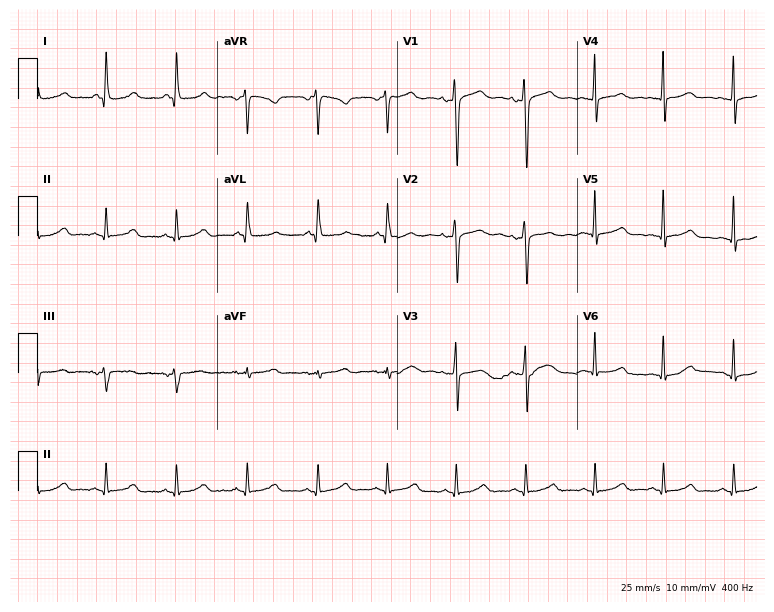
12-lead ECG from a 37-year-old female. No first-degree AV block, right bundle branch block (RBBB), left bundle branch block (LBBB), sinus bradycardia, atrial fibrillation (AF) or sinus tachycardia recorded for this tracing.